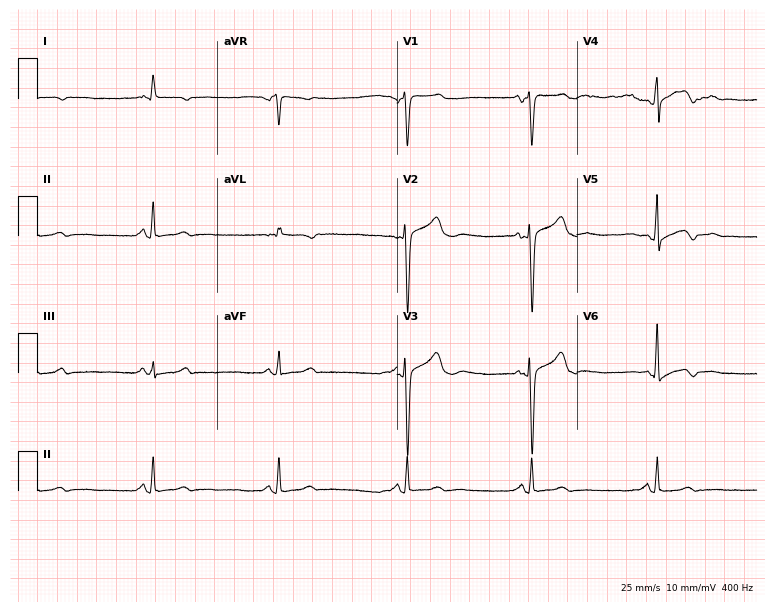
Standard 12-lead ECG recorded from a 53-year-old woman (7.3-second recording at 400 Hz). The tracing shows sinus bradycardia (a sinus rate of 50 beats per minute or less).